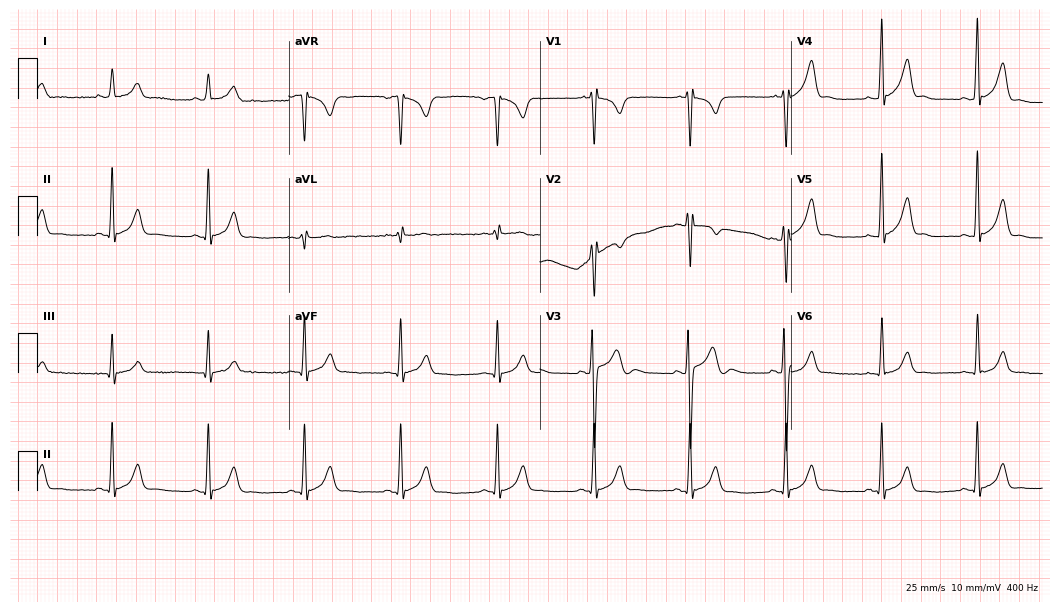
ECG (10.2-second recording at 400 Hz) — a 17-year-old man. Labelled as a normal ECG.